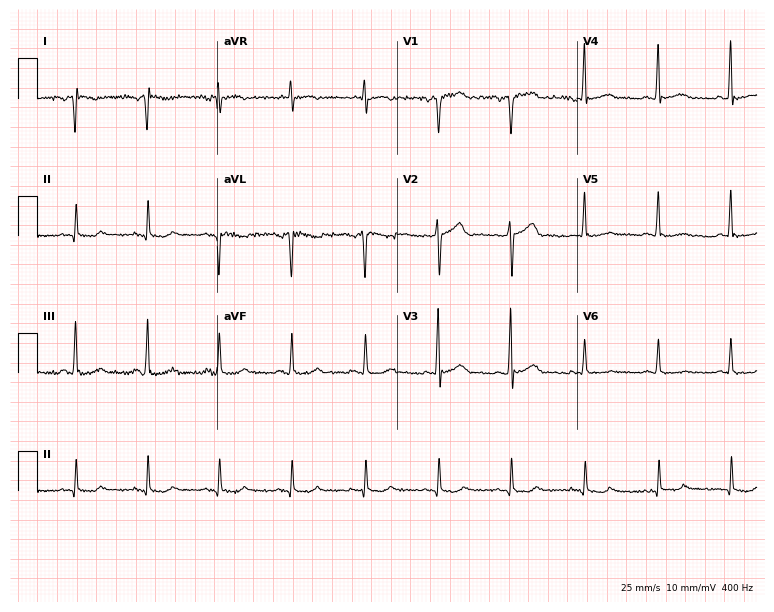
Resting 12-lead electrocardiogram (7.3-second recording at 400 Hz). Patient: a male, 63 years old. None of these six findings is recorded: first-degree AV block, right bundle branch block, left bundle branch block, sinus bradycardia, atrial fibrillation, sinus tachycardia.